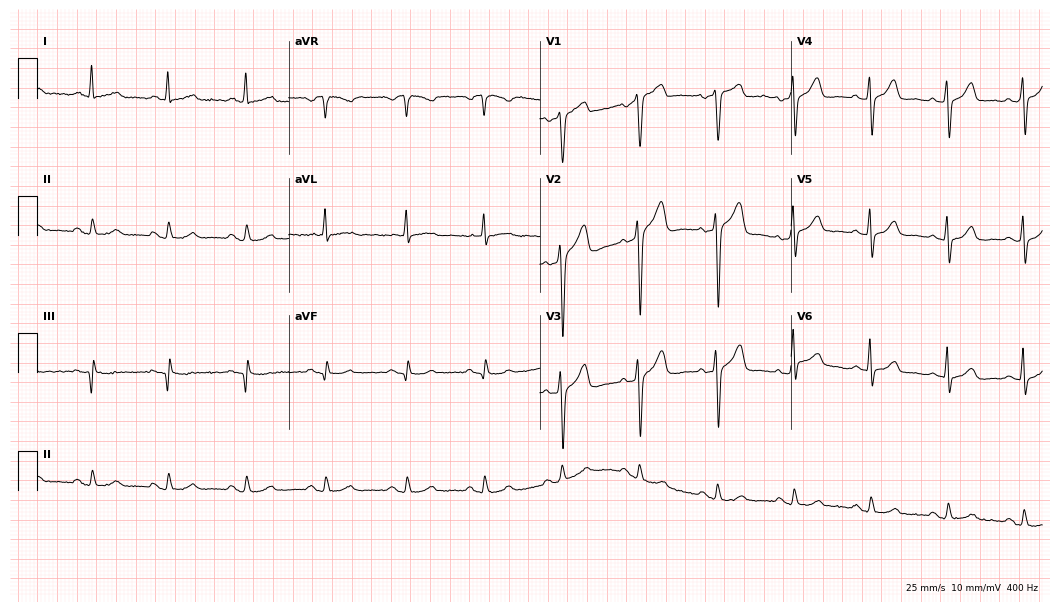
Standard 12-lead ECG recorded from a 58-year-old man (10.2-second recording at 400 Hz). None of these six findings is recorded: first-degree AV block, right bundle branch block (RBBB), left bundle branch block (LBBB), sinus bradycardia, atrial fibrillation (AF), sinus tachycardia. Findings outside these six are not listed.